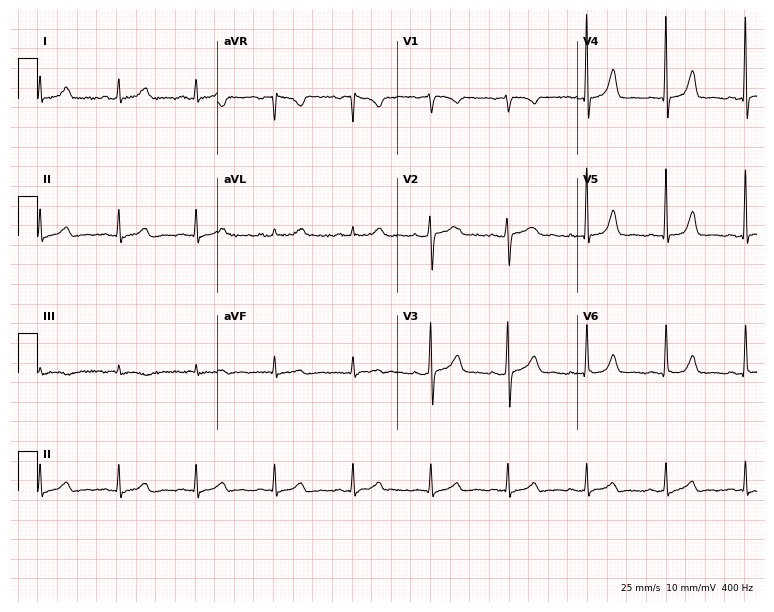
Electrocardiogram (7.3-second recording at 400 Hz), a 48-year-old female. Overall reading on record: normal ECG.